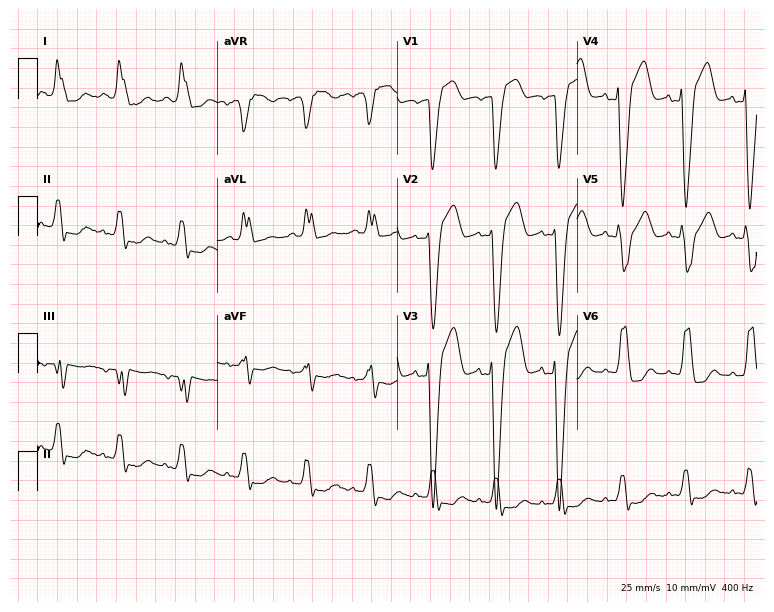
12-lead ECG from an 80-year-old woman. Shows left bundle branch block.